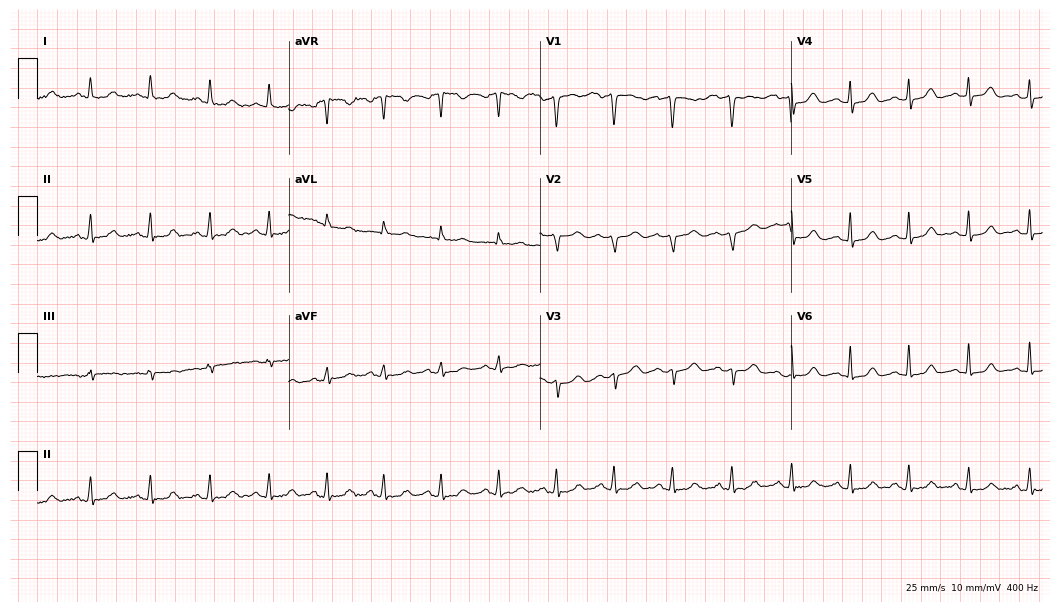
Resting 12-lead electrocardiogram. Patient: a 47-year-old female. None of these six findings is recorded: first-degree AV block, right bundle branch block, left bundle branch block, sinus bradycardia, atrial fibrillation, sinus tachycardia. Only these six findings were labelled.